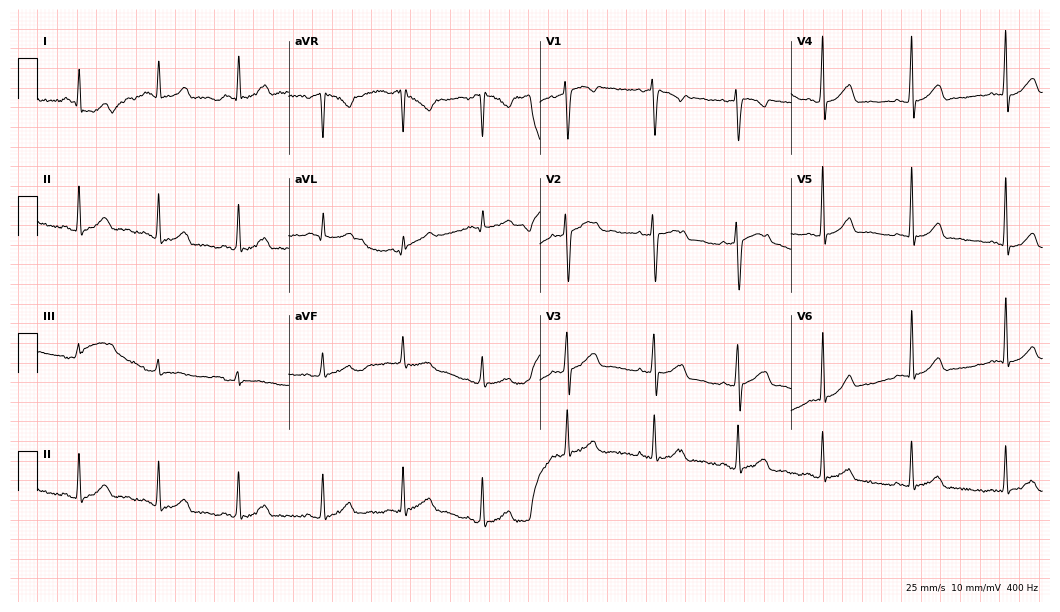
12-lead ECG from a female, 26 years old. Labelled as a normal ECG.